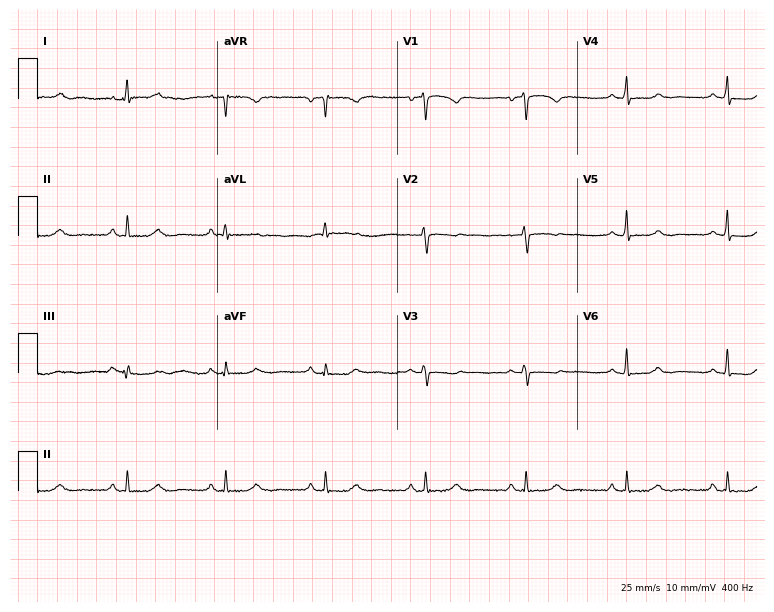
12-lead ECG from a 56-year-old woman (7.3-second recording at 400 Hz). No first-degree AV block, right bundle branch block (RBBB), left bundle branch block (LBBB), sinus bradycardia, atrial fibrillation (AF) or sinus tachycardia recorded for this tracing. Only these six findings were labelled.